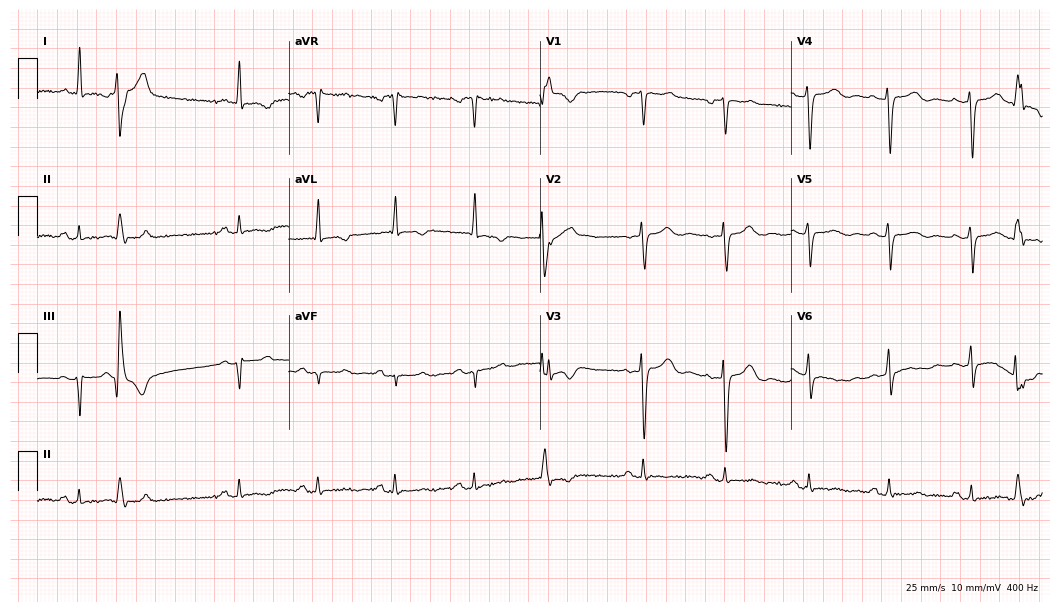
12-lead ECG from a 56-year-old female patient (10.2-second recording at 400 Hz). No first-degree AV block, right bundle branch block, left bundle branch block, sinus bradycardia, atrial fibrillation or sinus tachycardia recorded for this tracing. Findings outside these six are not listed.